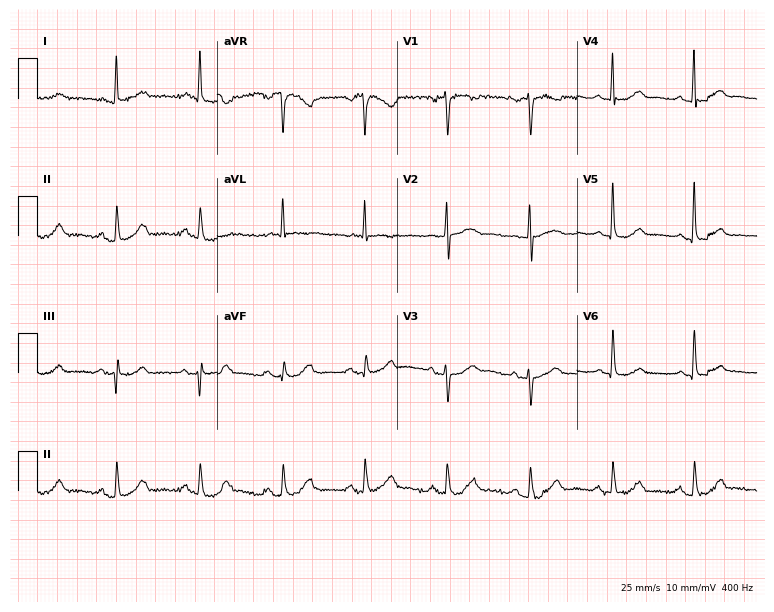
Resting 12-lead electrocardiogram. Patient: an 85-year-old woman. Read as a normal ECG.